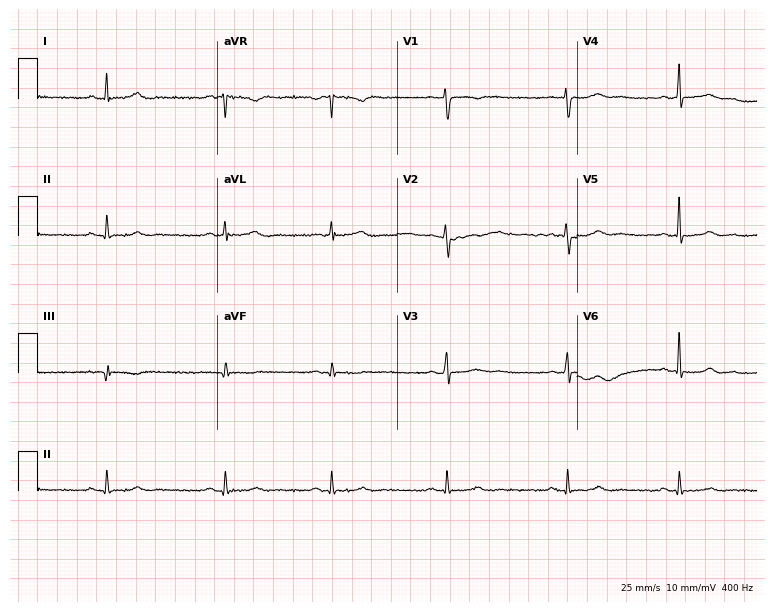
12-lead ECG from a 26-year-old female patient. No first-degree AV block, right bundle branch block, left bundle branch block, sinus bradycardia, atrial fibrillation or sinus tachycardia recorded for this tracing. Only these six findings were labelled.